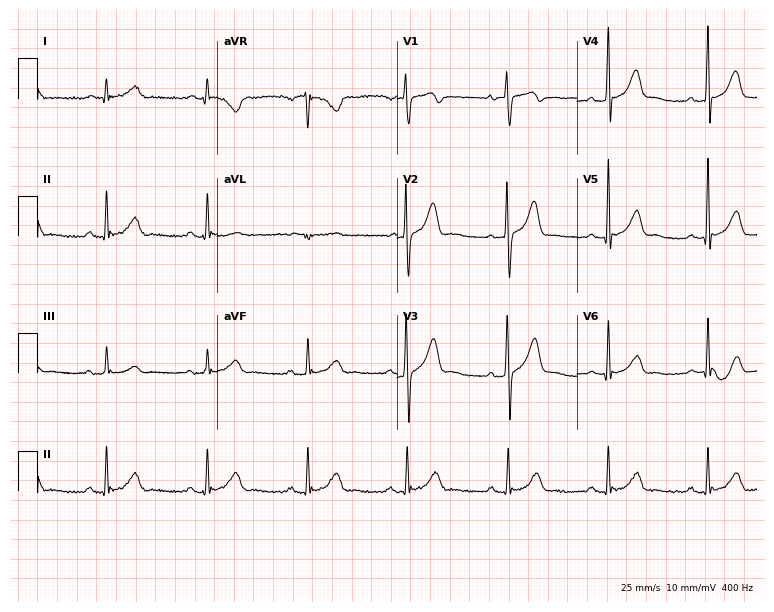
Standard 12-lead ECG recorded from a 68-year-old man (7.3-second recording at 400 Hz). Read as a normal ECG.